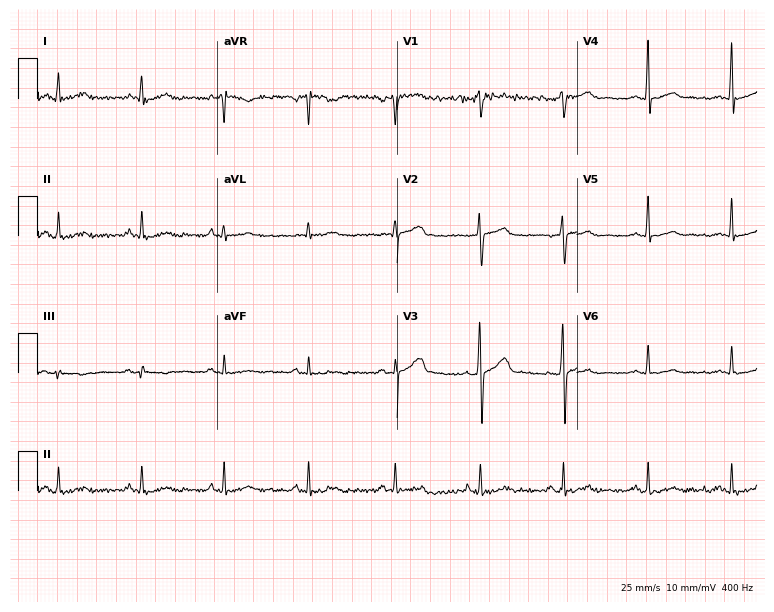
Electrocardiogram, a male patient, 47 years old. Of the six screened findings (first-degree AV block, right bundle branch block, left bundle branch block, sinus bradycardia, atrial fibrillation, sinus tachycardia), none is recorded.